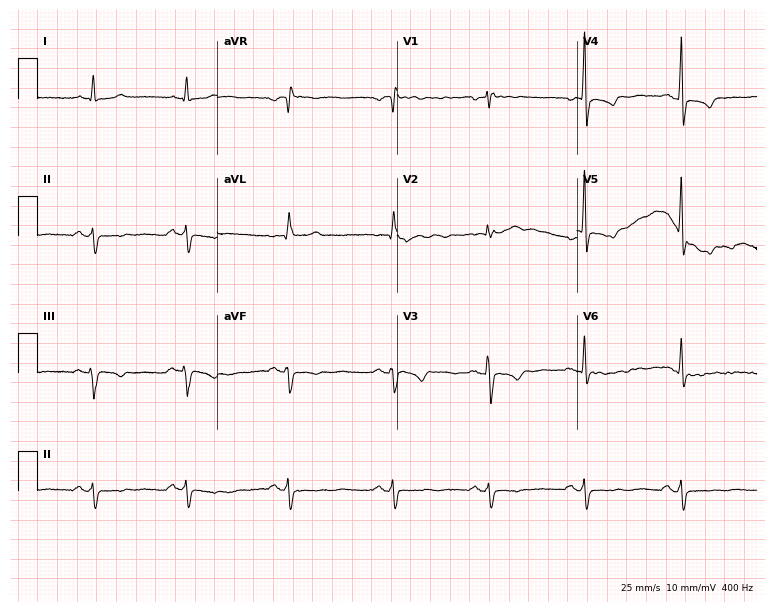
Resting 12-lead electrocardiogram (7.3-second recording at 400 Hz). Patient: a 49-year-old female. None of these six findings is recorded: first-degree AV block, right bundle branch block, left bundle branch block, sinus bradycardia, atrial fibrillation, sinus tachycardia.